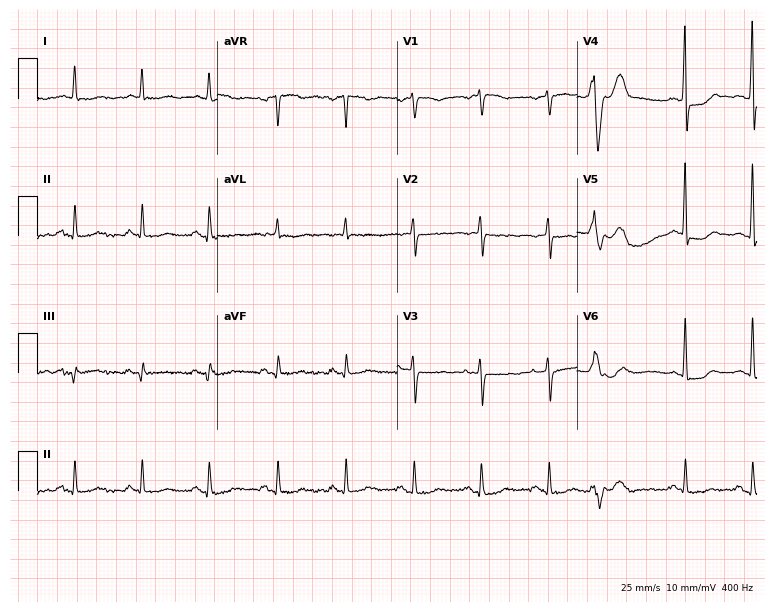
12-lead ECG from a woman, 83 years old. No first-degree AV block, right bundle branch block (RBBB), left bundle branch block (LBBB), sinus bradycardia, atrial fibrillation (AF) or sinus tachycardia recorded for this tracing.